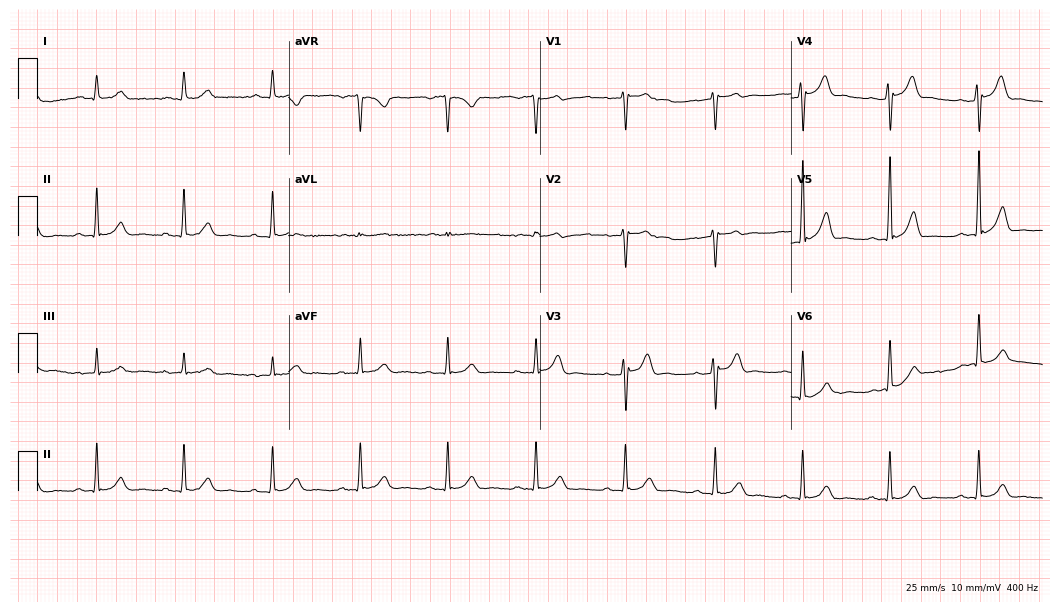
Resting 12-lead electrocardiogram (10.2-second recording at 400 Hz). Patient: a 64-year-old male. Read as a normal ECG.